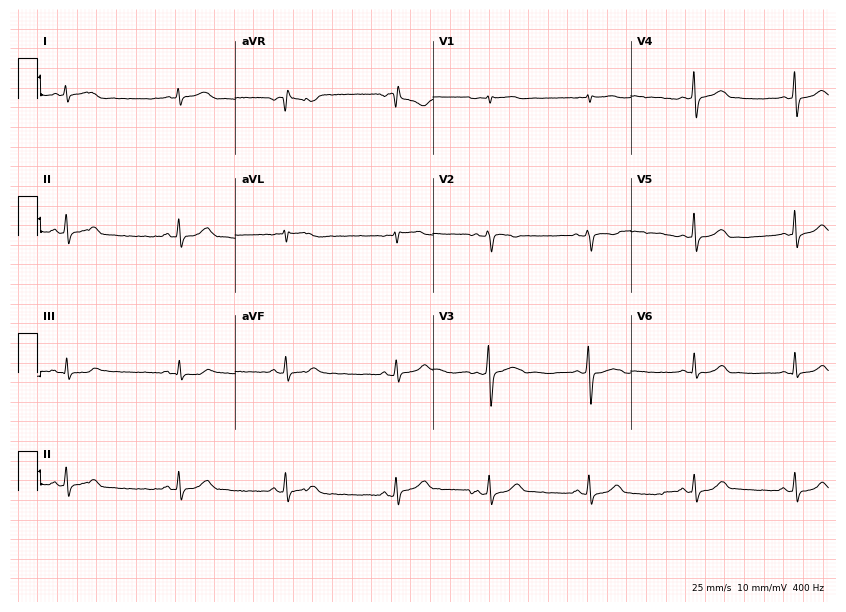
12-lead ECG (8.1-second recording at 400 Hz) from a 41-year-old female patient. Labelled as a normal ECG.